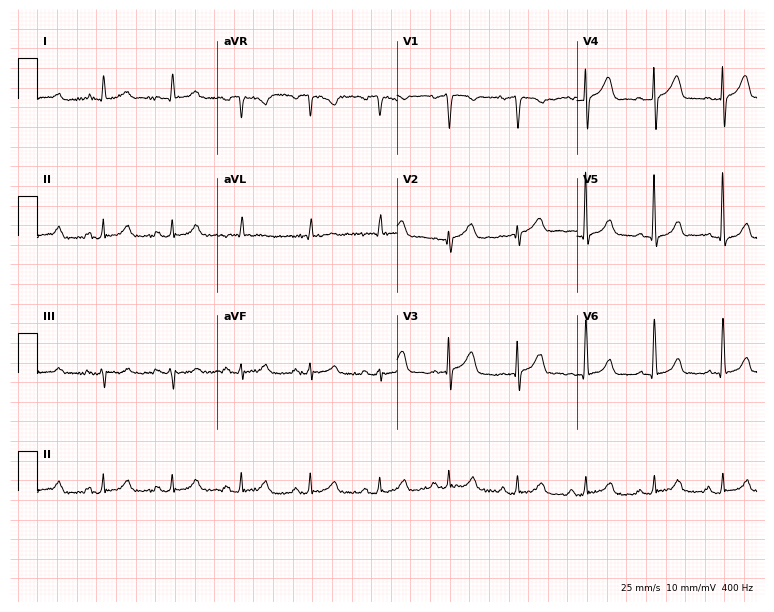
Standard 12-lead ECG recorded from a female patient, 82 years old. Read as a normal ECG.